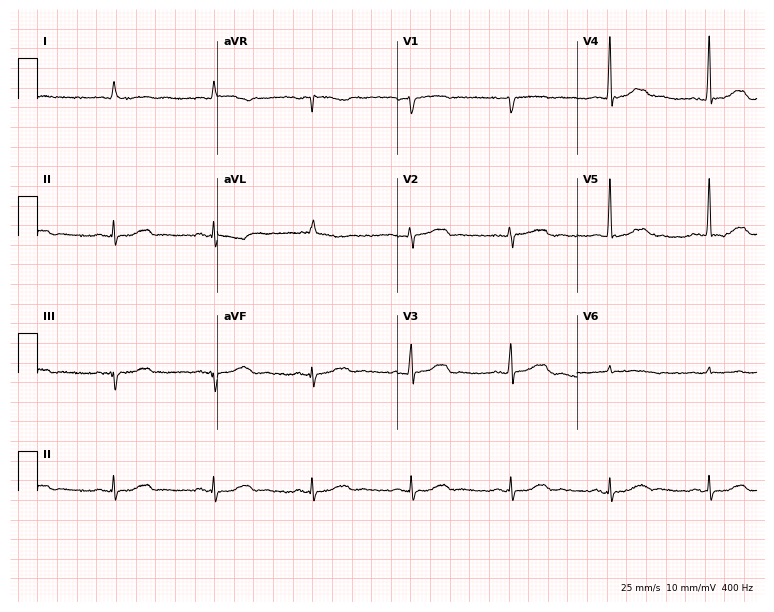
12-lead ECG from a female, 62 years old. Screened for six findings — first-degree AV block, right bundle branch block, left bundle branch block, sinus bradycardia, atrial fibrillation, sinus tachycardia — none is recorded.